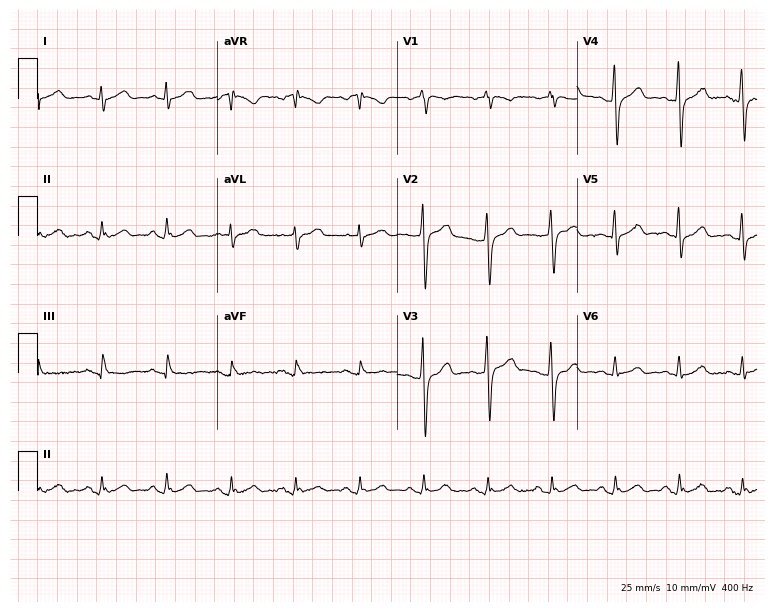
ECG (7.3-second recording at 400 Hz) — a man, 69 years old. Screened for six findings — first-degree AV block, right bundle branch block, left bundle branch block, sinus bradycardia, atrial fibrillation, sinus tachycardia — none is recorded.